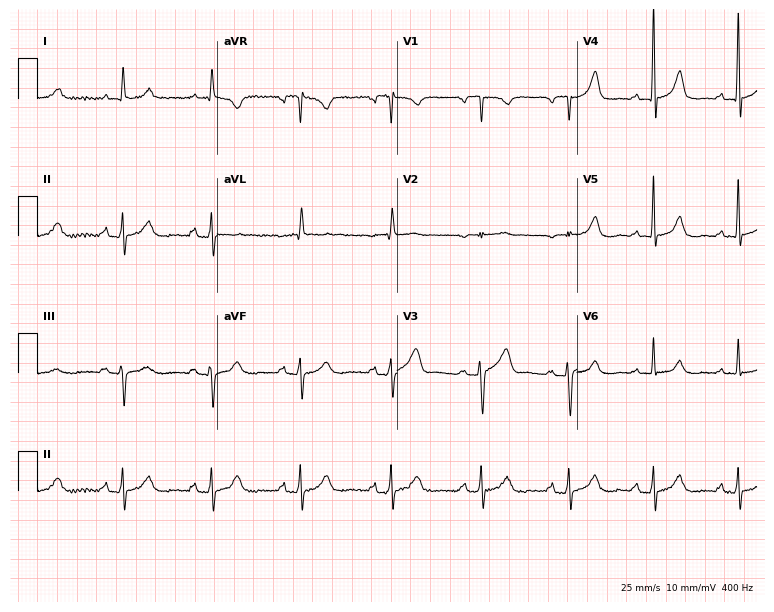
12-lead ECG from a 60-year-old female patient. Recorded interpretation: within normal limits.